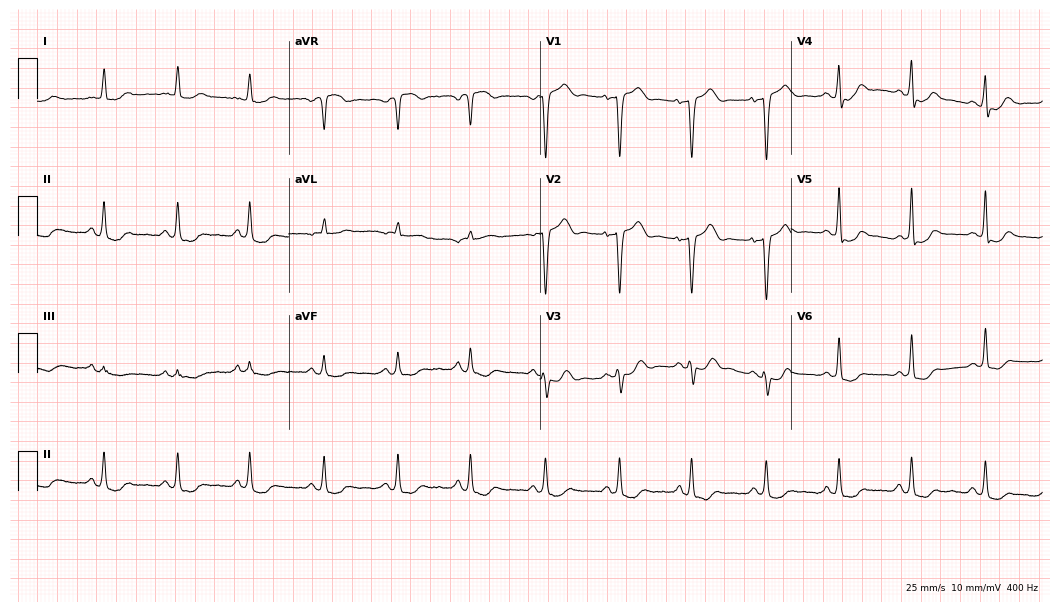
12-lead ECG from a woman, 82 years old (10.2-second recording at 400 Hz). No first-degree AV block, right bundle branch block (RBBB), left bundle branch block (LBBB), sinus bradycardia, atrial fibrillation (AF) or sinus tachycardia recorded for this tracing. Other findings, if any, are not listed.